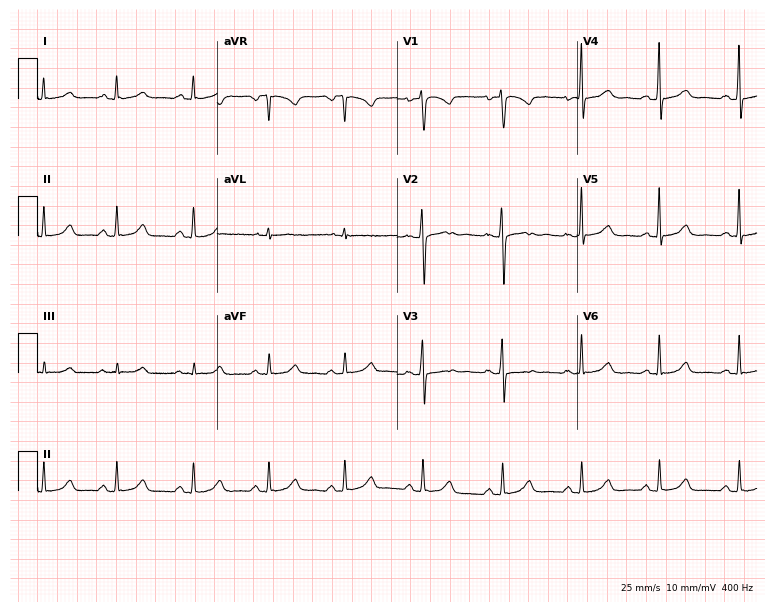
ECG (7.3-second recording at 400 Hz) — a 44-year-old female. Labelled as a normal ECG.